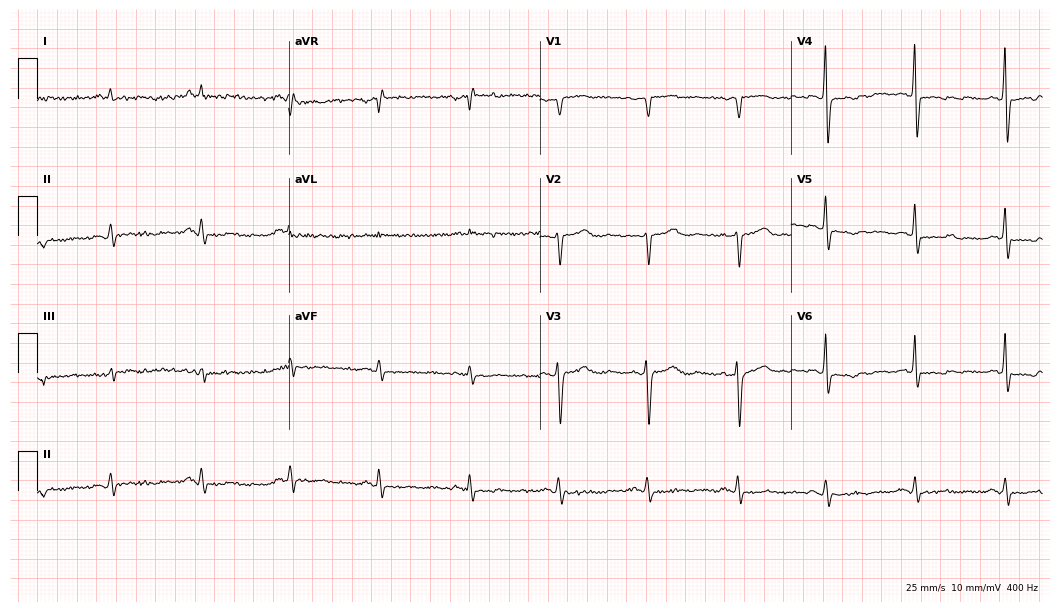
12-lead ECG from a 71-year-old male patient (10.2-second recording at 400 Hz). No first-degree AV block, right bundle branch block, left bundle branch block, sinus bradycardia, atrial fibrillation or sinus tachycardia recorded for this tracing.